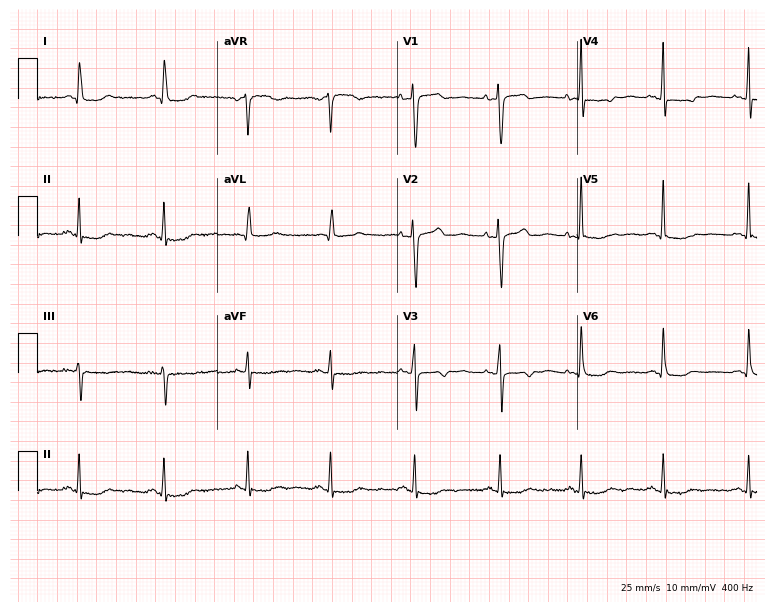
ECG — a woman, 70 years old. Labelled as a normal ECG.